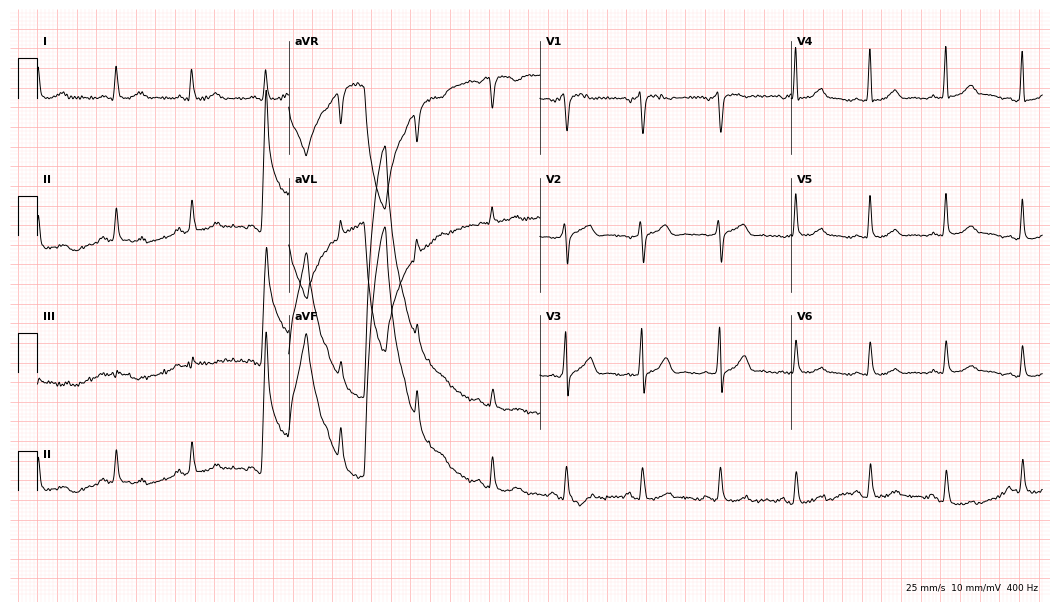
Standard 12-lead ECG recorded from a female, 69 years old (10.2-second recording at 400 Hz). Read as a normal ECG.